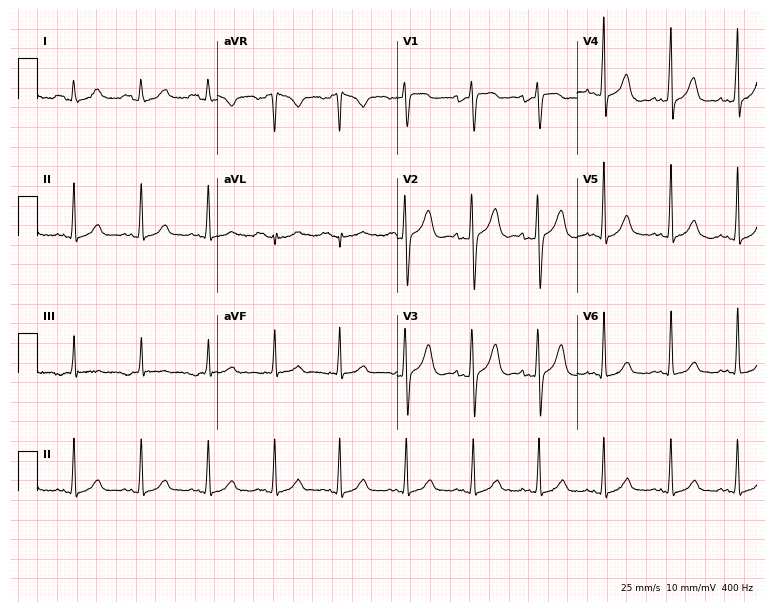
Standard 12-lead ECG recorded from a female, 24 years old (7.3-second recording at 400 Hz). None of these six findings is recorded: first-degree AV block, right bundle branch block, left bundle branch block, sinus bradycardia, atrial fibrillation, sinus tachycardia. Only these six findings were labelled.